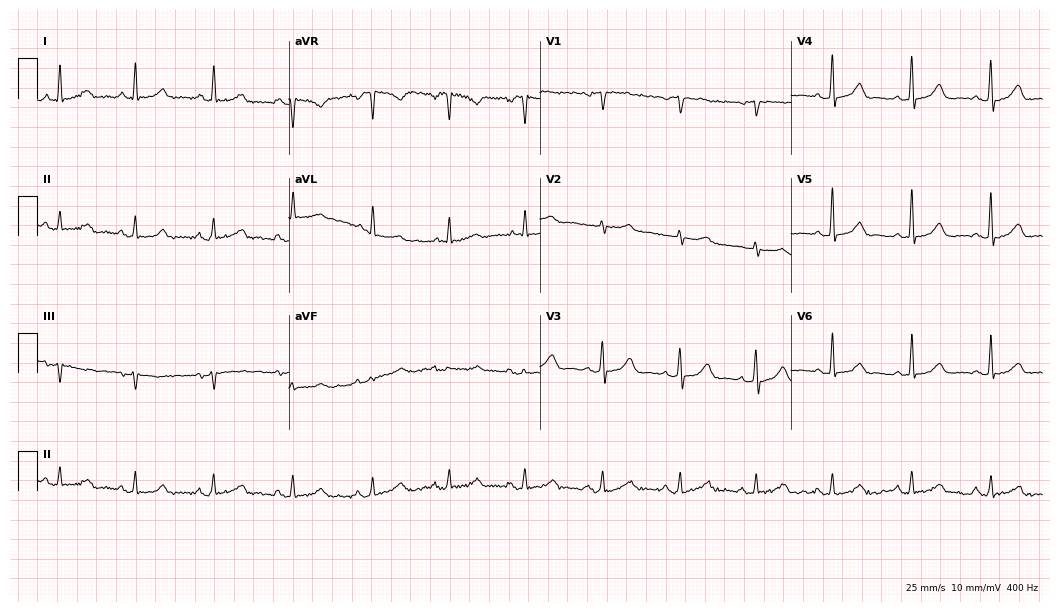
ECG — a female, 63 years old. Labelled as a normal ECG.